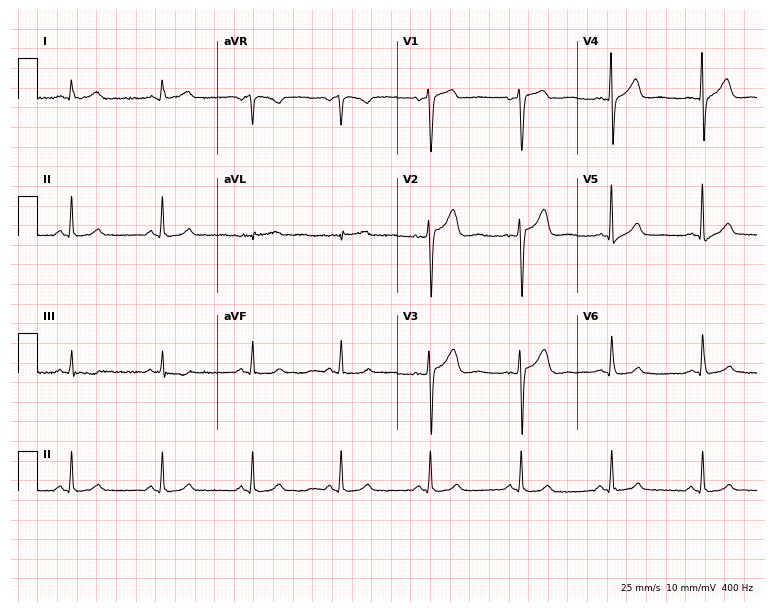
Standard 12-lead ECG recorded from a woman, 58 years old. None of these six findings is recorded: first-degree AV block, right bundle branch block (RBBB), left bundle branch block (LBBB), sinus bradycardia, atrial fibrillation (AF), sinus tachycardia.